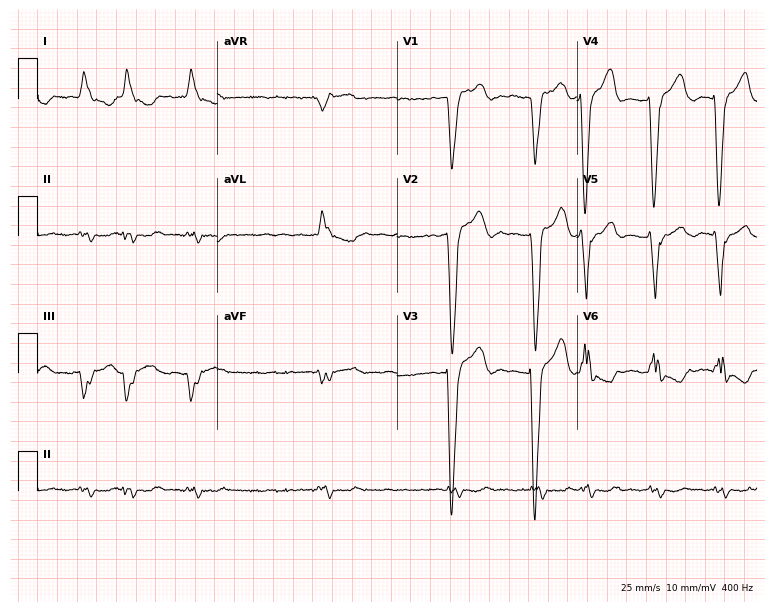
Standard 12-lead ECG recorded from a 75-year-old male. The tracing shows left bundle branch block, atrial fibrillation.